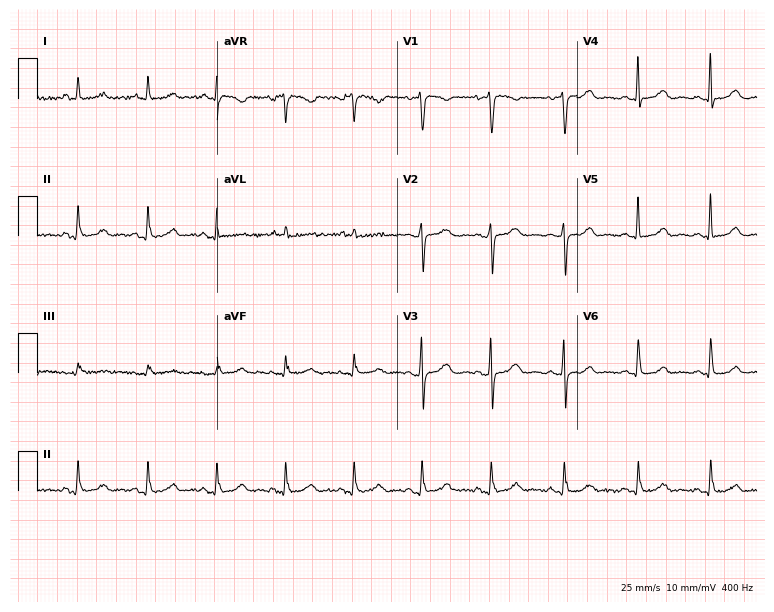
12-lead ECG from a woman, 47 years old (7.3-second recording at 400 Hz). Recorded interpretation: within normal limits.